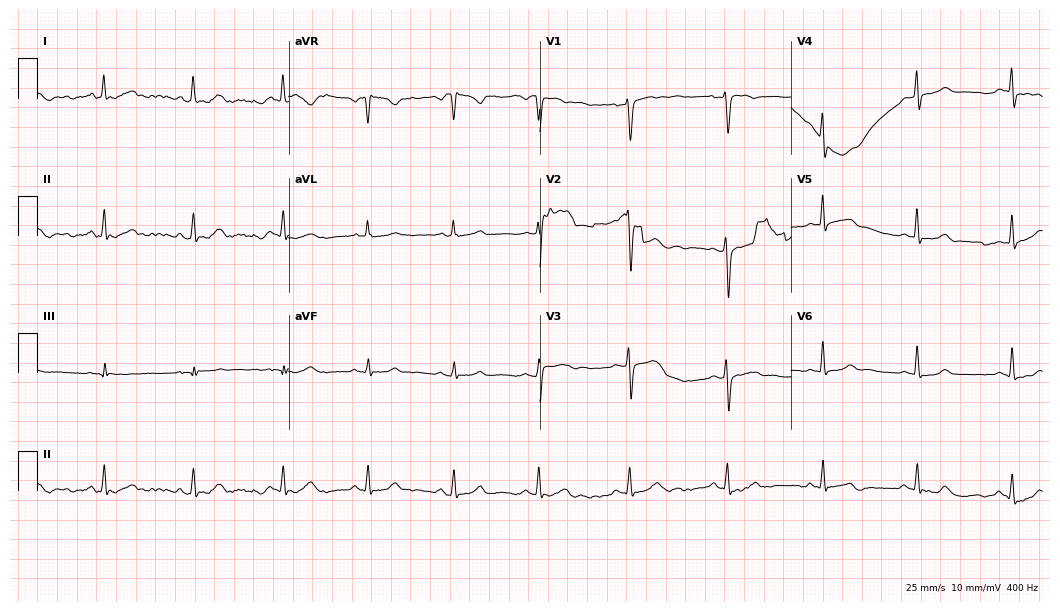
Resting 12-lead electrocardiogram (10.2-second recording at 400 Hz). Patient: a woman, 45 years old. Read as a normal ECG.